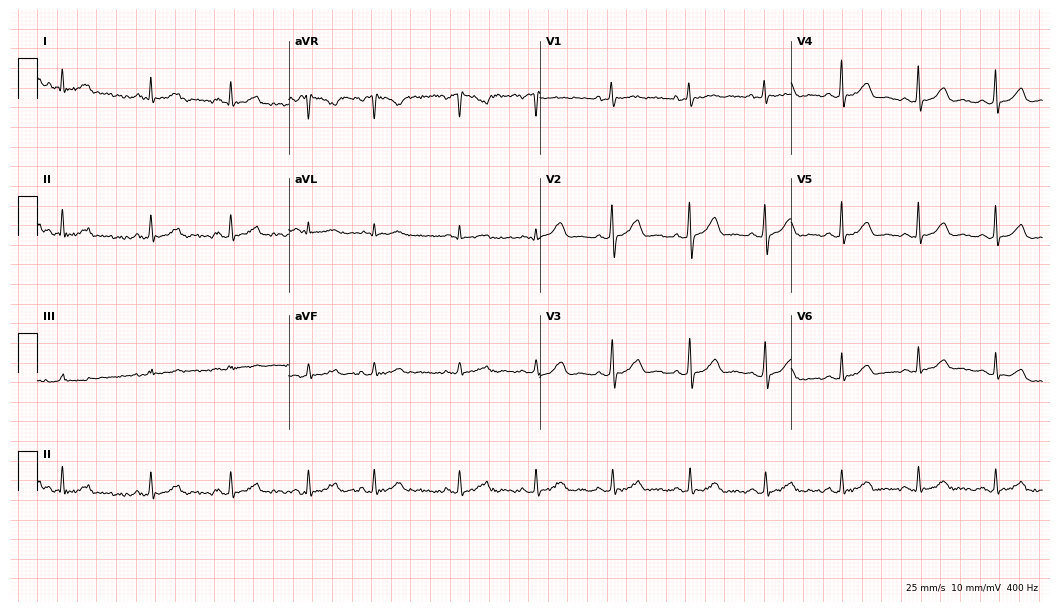
ECG — a woman, 68 years old. Screened for six findings — first-degree AV block, right bundle branch block, left bundle branch block, sinus bradycardia, atrial fibrillation, sinus tachycardia — none is recorded.